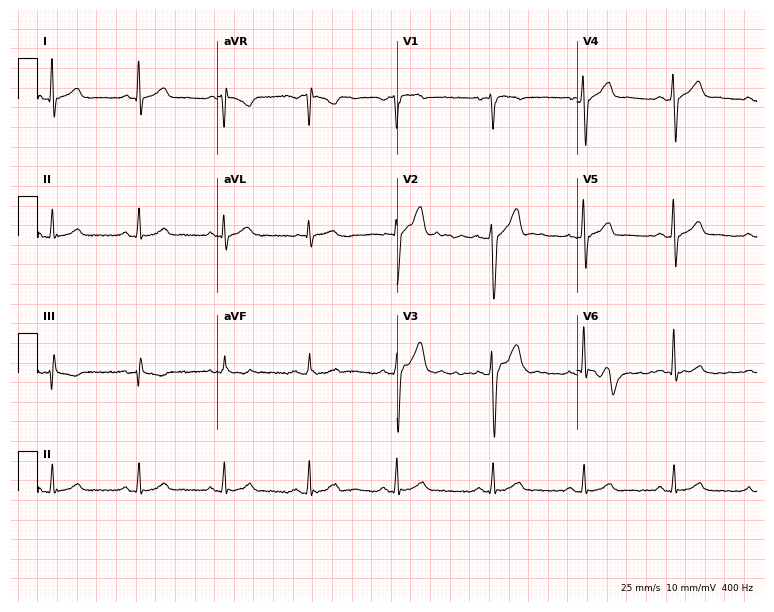
ECG (7.3-second recording at 400 Hz) — a male patient, 35 years old. Labelled as a normal ECG.